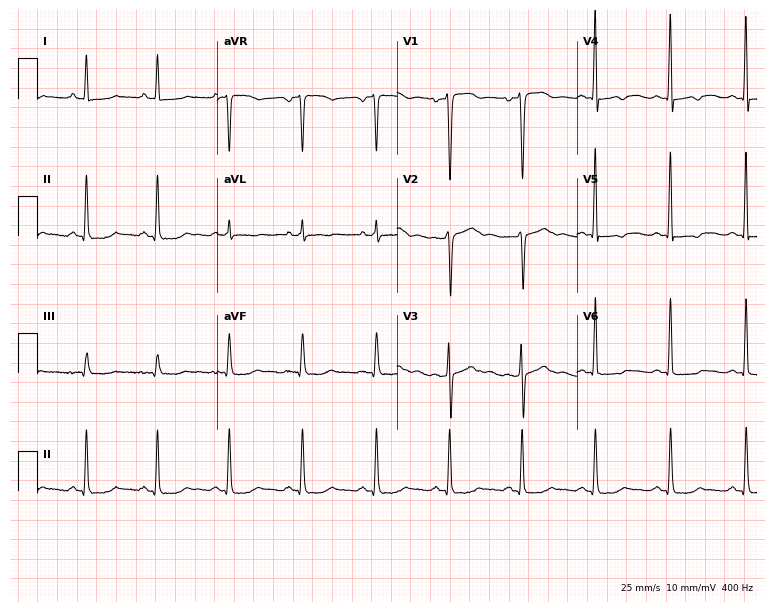
12-lead ECG from a 34-year-old woman (7.3-second recording at 400 Hz). No first-degree AV block, right bundle branch block, left bundle branch block, sinus bradycardia, atrial fibrillation or sinus tachycardia recorded for this tracing. Findings outside these six are not listed.